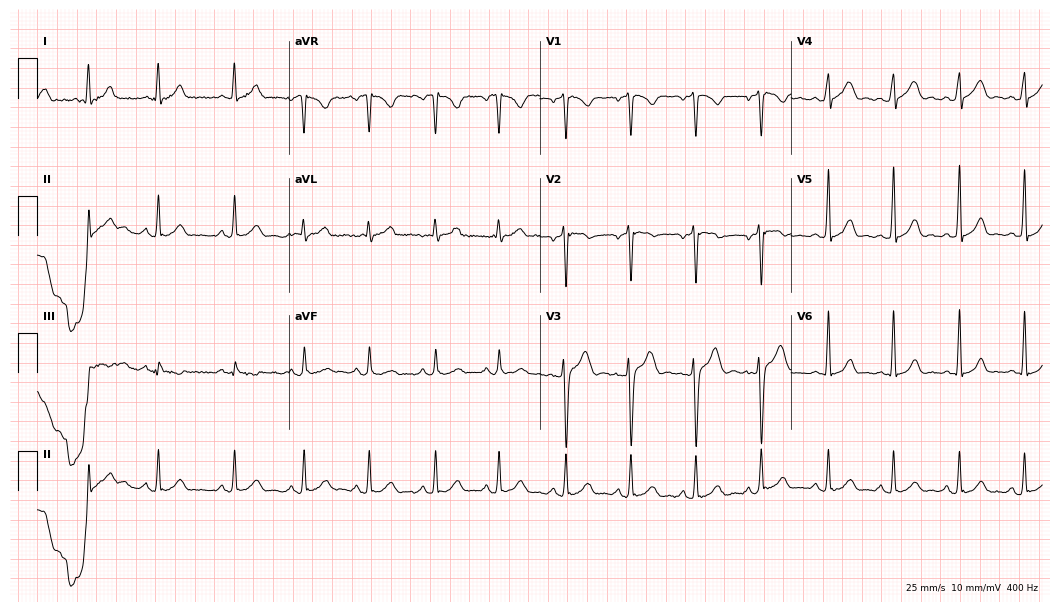
Resting 12-lead electrocardiogram (10.2-second recording at 400 Hz). Patient: a man, 32 years old. Read as a normal ECG.